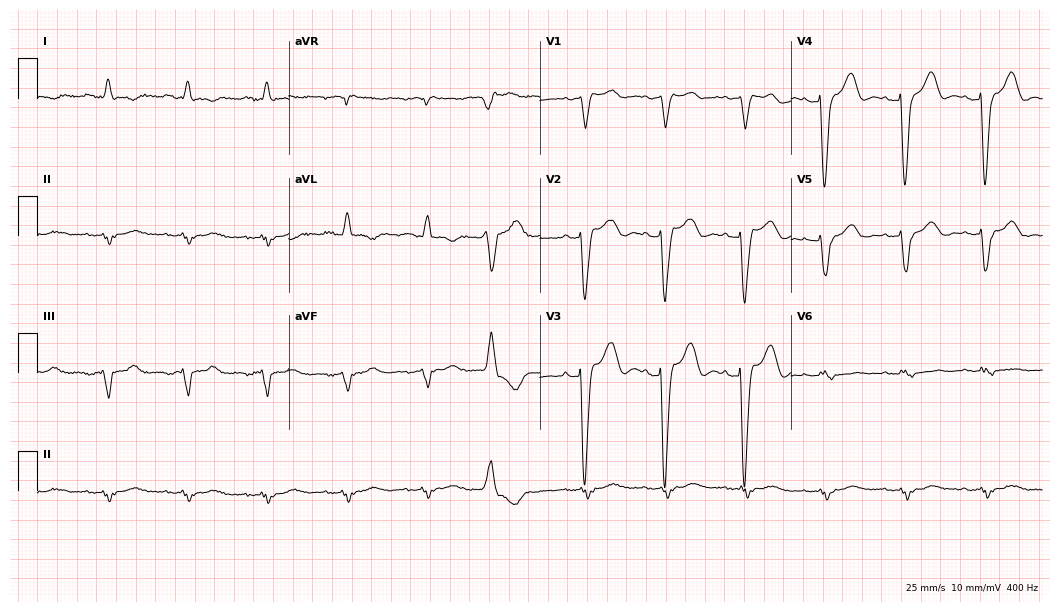
Standard 12-lead ECG recorded from a female patient, 64 years old. The tracing shows left bundle branch block.